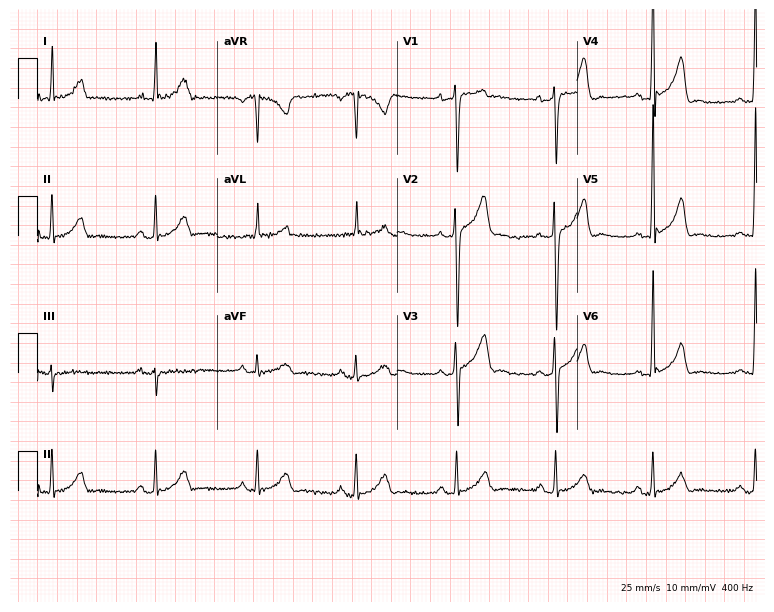
ECG — a male, 48 years old. Screened for six findings — first-degree AV block, right bundle branch block (RBBB), left bundle branch block (LBBB), sinus bradycardia, atrial fibrillation (AF), sinus tachycardia — none is recorded.